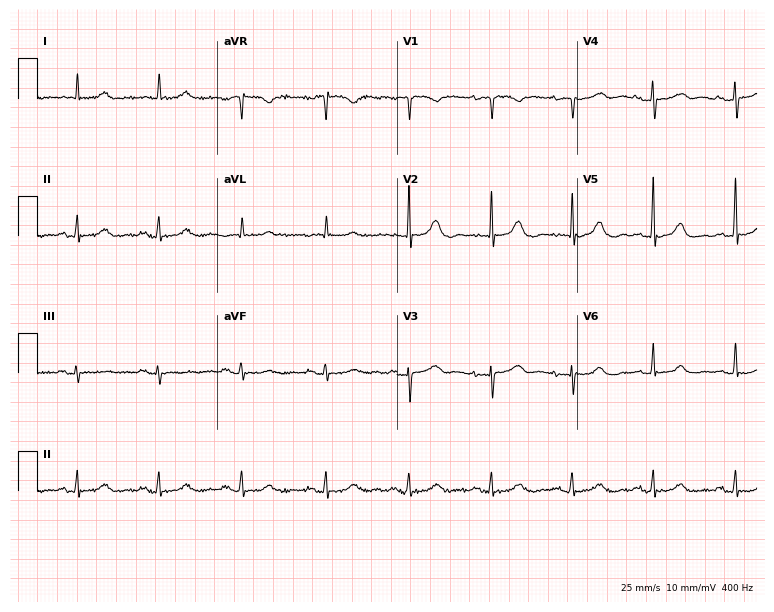
Standard 12-lead ECG recorded from an 80-year-old male patient. Read as a normal ECG.